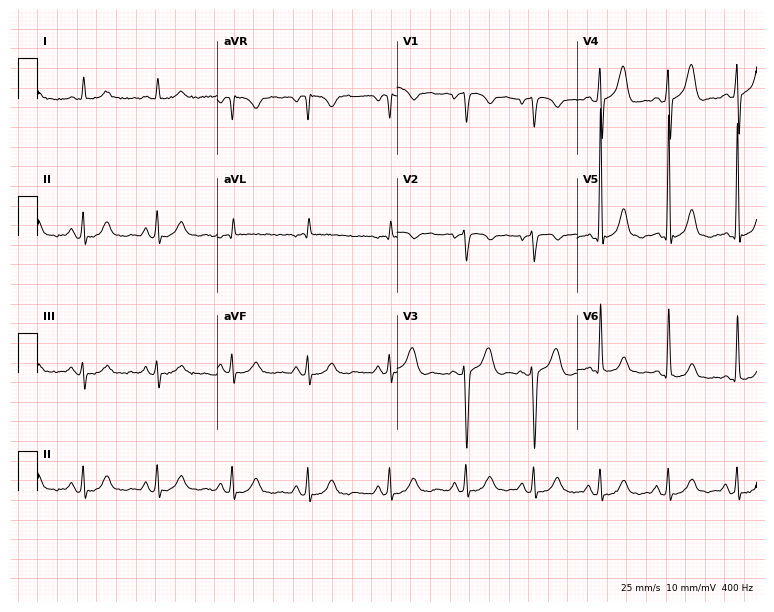
12-lead ECG from a male, 55 years old. No first-degree AV block, right bundle branch block, left bundle branch block, sinus bradycardia, atrial fibrillation or sinus tachycardia recorded for this tracing. Only these six findings were labelled.